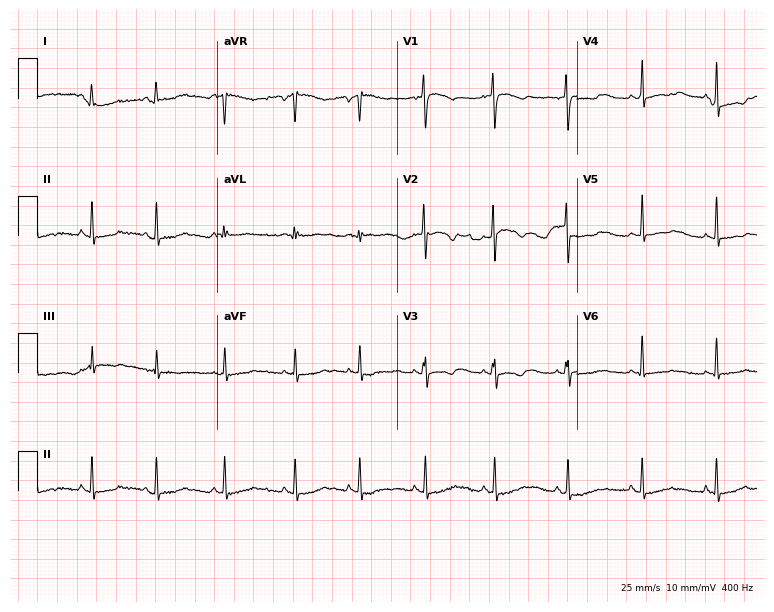
Electrocardiogram (7.3-second recording at 400 Hz), an 18-year-old female. Of the six screened findings (first-degree AV block, right bundle branch block (RBBB), left bundle branch block (LBBB), sinus bradycardia, atrial fibrillation (AF), sinus tachycardia), none is recorded. Only these six findings were labelled.